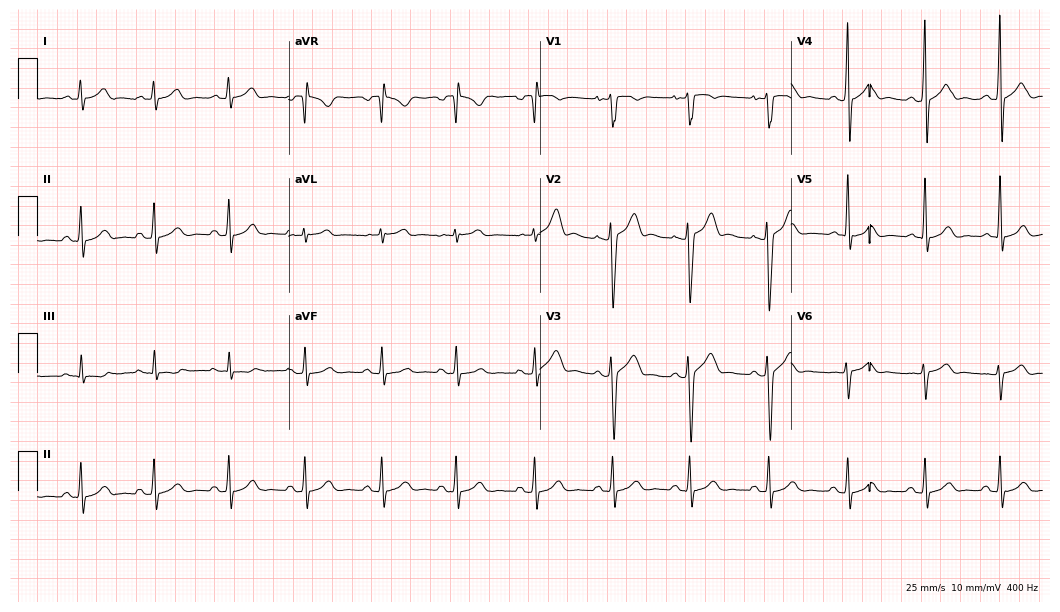
Standard 12-lead ECG recorded from a male patient, 21 years old. Read as a normal ECG.